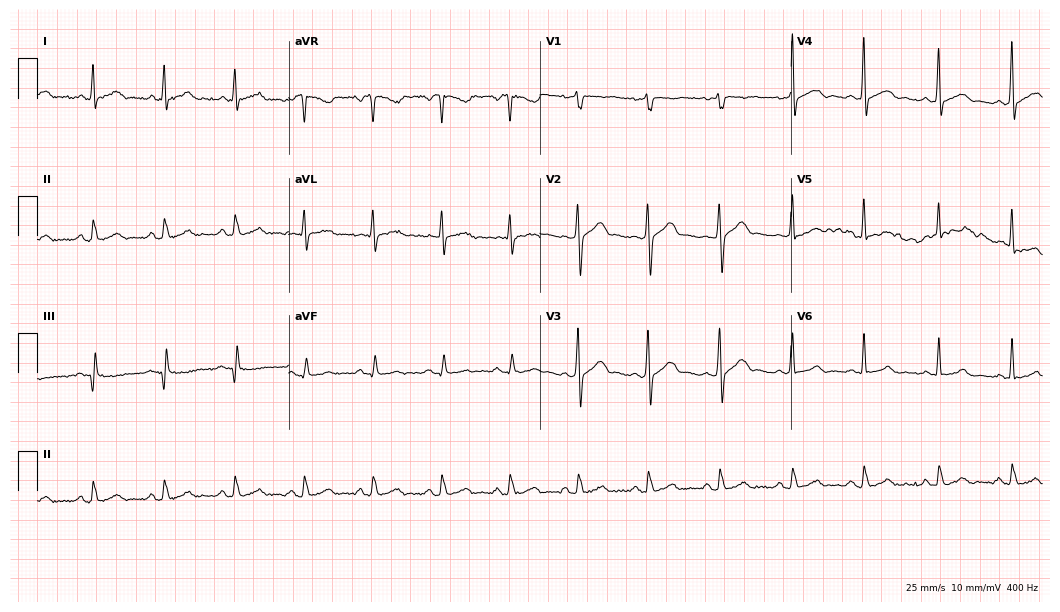
12-lead ECG from a man, 41 years old (10.2-second recording at 400 Hz). Recorded interpretation: within normal limits.